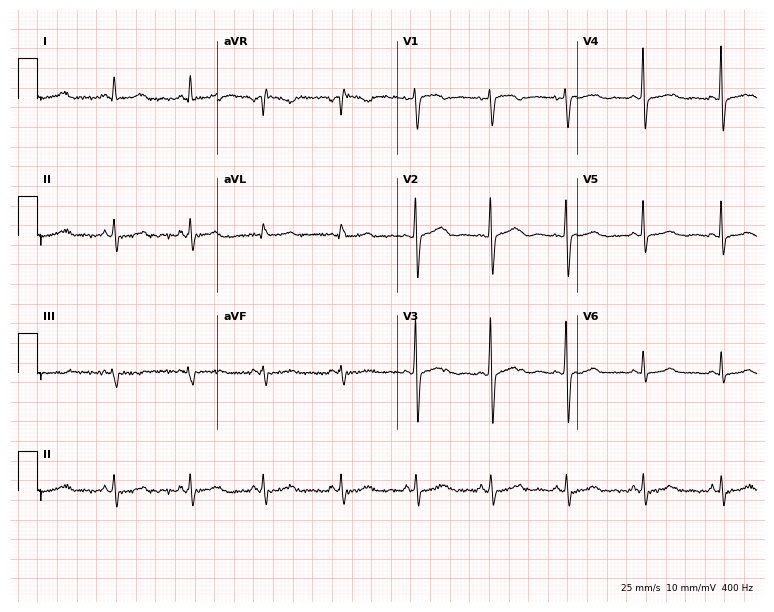
12-lead ECG from a 41-year-old female. Screened for six findings — first-degree AV block, right bundle branch block (RBBB), left bundle branch block (LBBB), sinus bradycardia, atrial fibrillation (AF), sinus tachycardia — none is recorded. Findings outside these six are not listed.